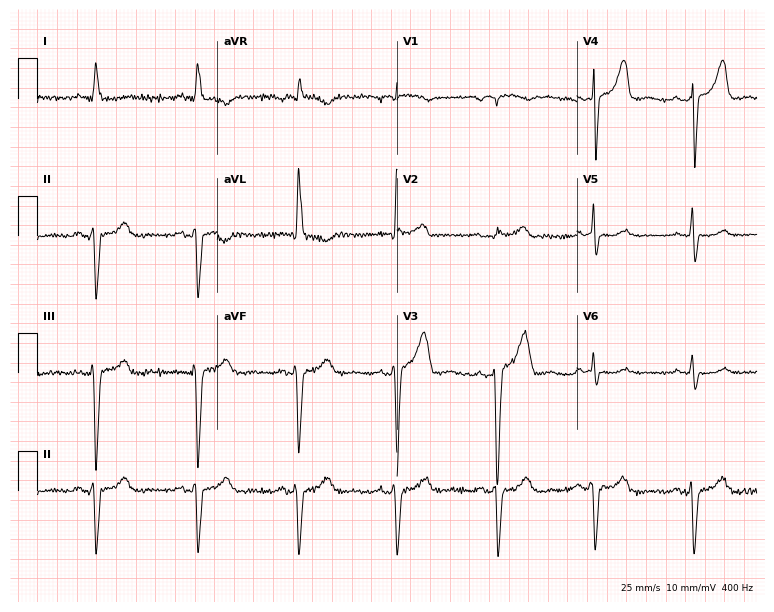
Standard 12-lead ECG recorded from a man, 64 years old (7.3-second recording at 400 Hz). None of these six findings is recorded: first-degree AV block, right bundle branch block (RBBB), left bundle branch block (LBBB), sinus bradycardia, atrial fibrillation (AF), sinus tachycardia.